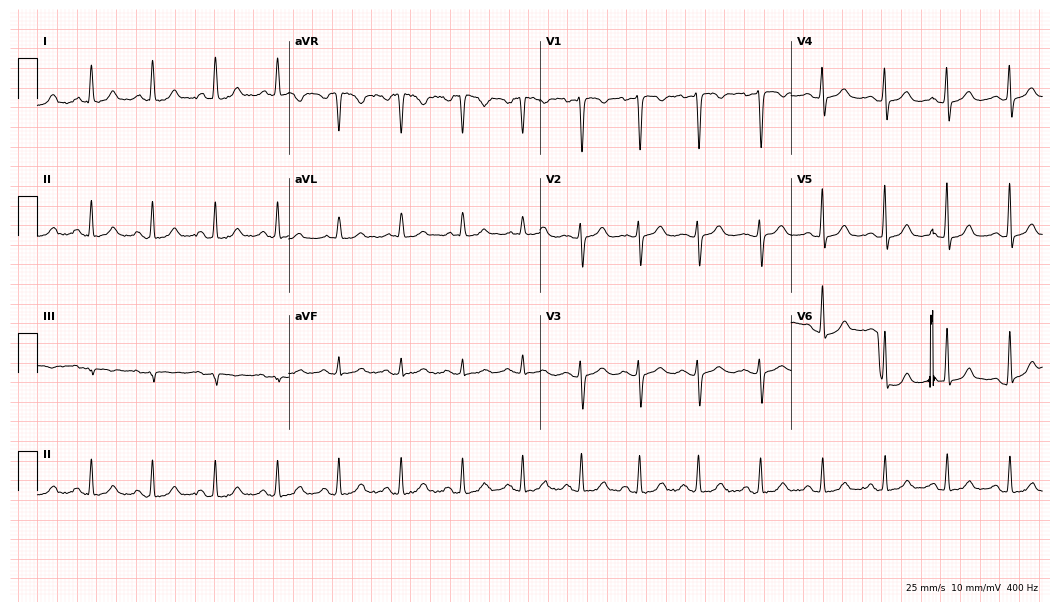
Standard 12-lead ECG recorded from a woman, 36 years old (10.2-second recording at 400 Hz). Read as a normal ECG.